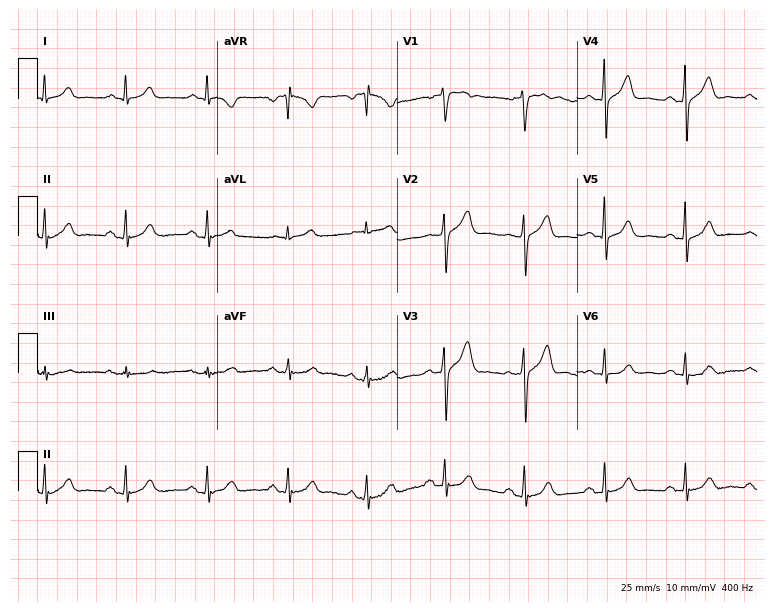
12-lead ECG from a 75-year-old female patient. Recorded interpretation: within normal limits.